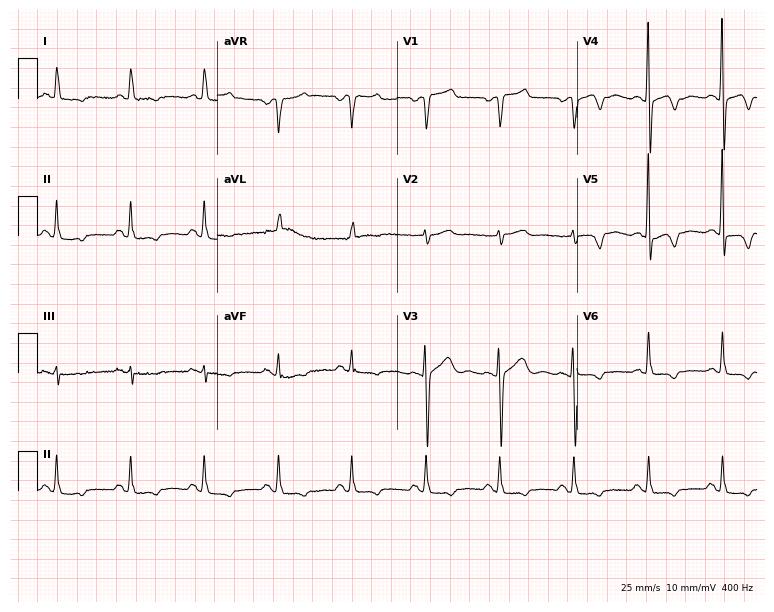
12-lead ECG from an 87-year-old female. Screened for six findings — first-degree AV block, right bundle branch block, left bundle branch block, sinus bradycardia, atrial fibrillation, sinus tachycardia — none is recorded. Only these six findings were labelled.